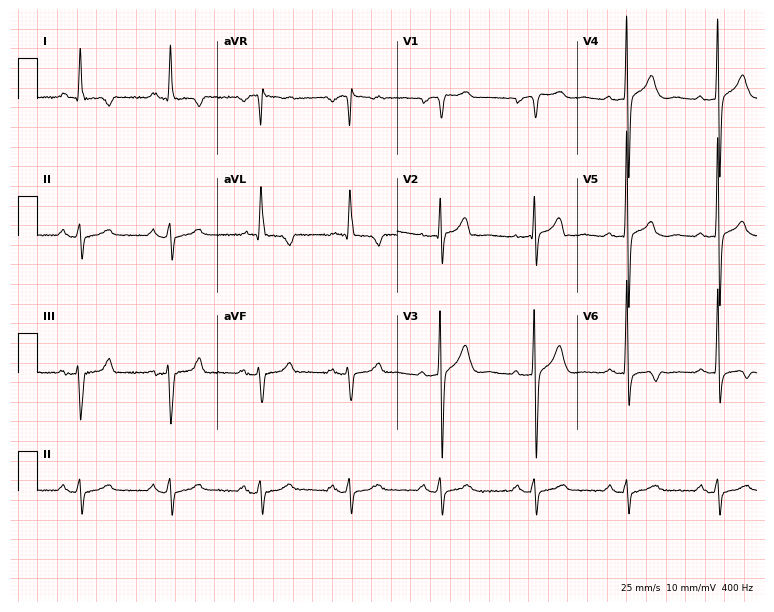
ECG (7.3-second recording at 400 Hz) — a male, 61 years old. Screened for six findings — first-degree AV block, right bundle branch block (RBBB), left bundle branch block (LBBB), sinus bradycardia, atrial fibrillation (AF), sinus tachycardia — none is recorded.